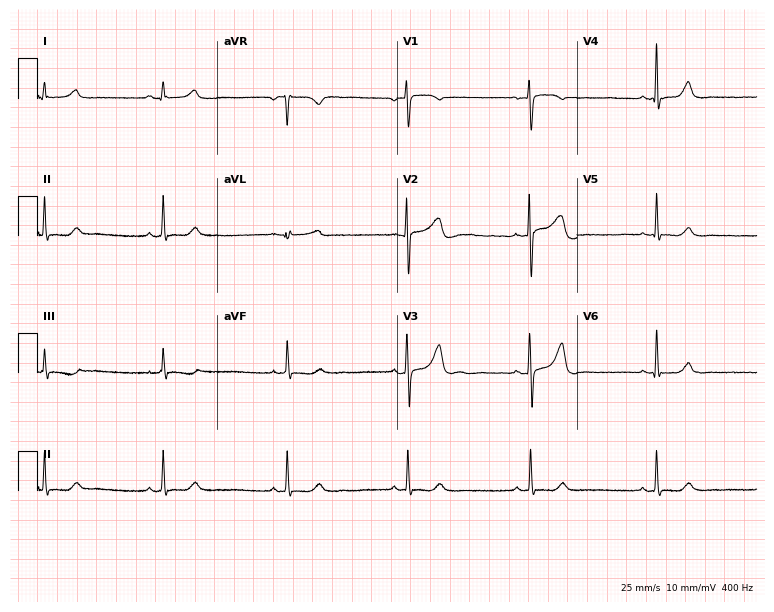
12-lead ECG from a 24-year-old woman. Recorded interpretation: within normal limits.